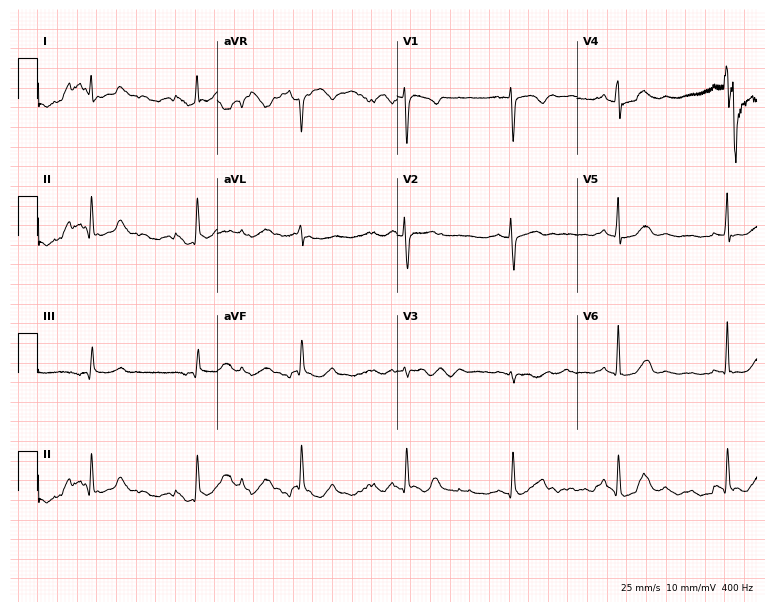
Electrocardiogram (7.3-second recording at 400 Hz), a female patient, 17 years old. Overall reading on record: normal ECG.